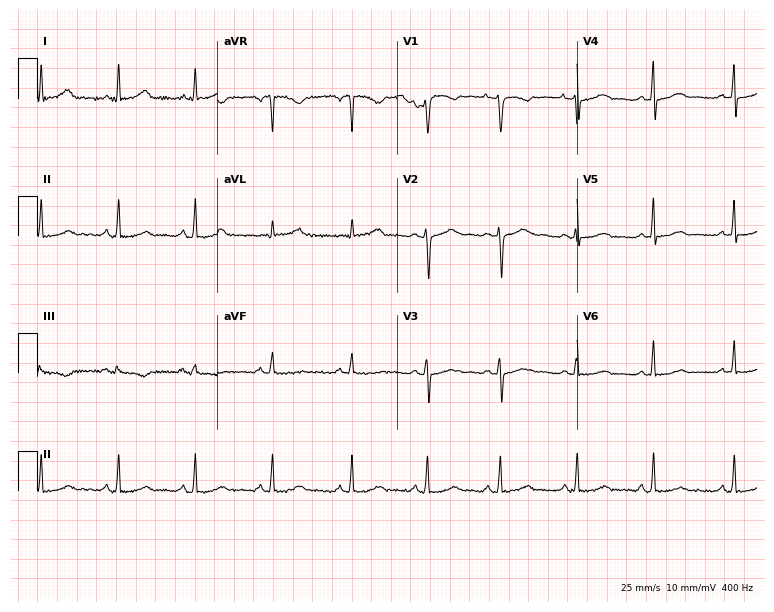
Electrocardiogram, a female patient, 39 years old. Overall reading on record: normal ECG.